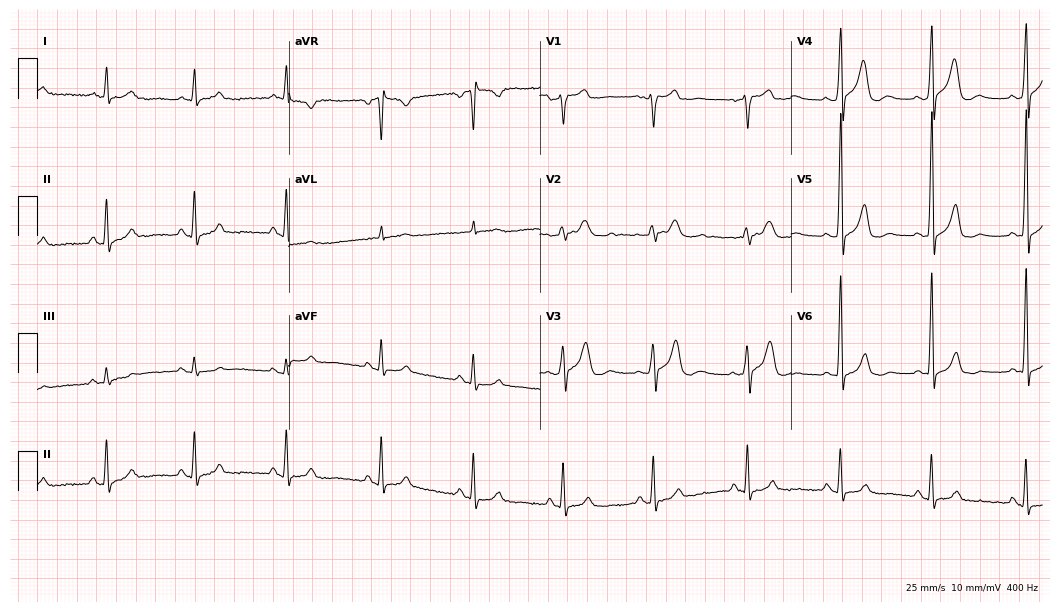
12-lead ECG from a 54-year-old male patient. Recorded interpretation: within normal limits.